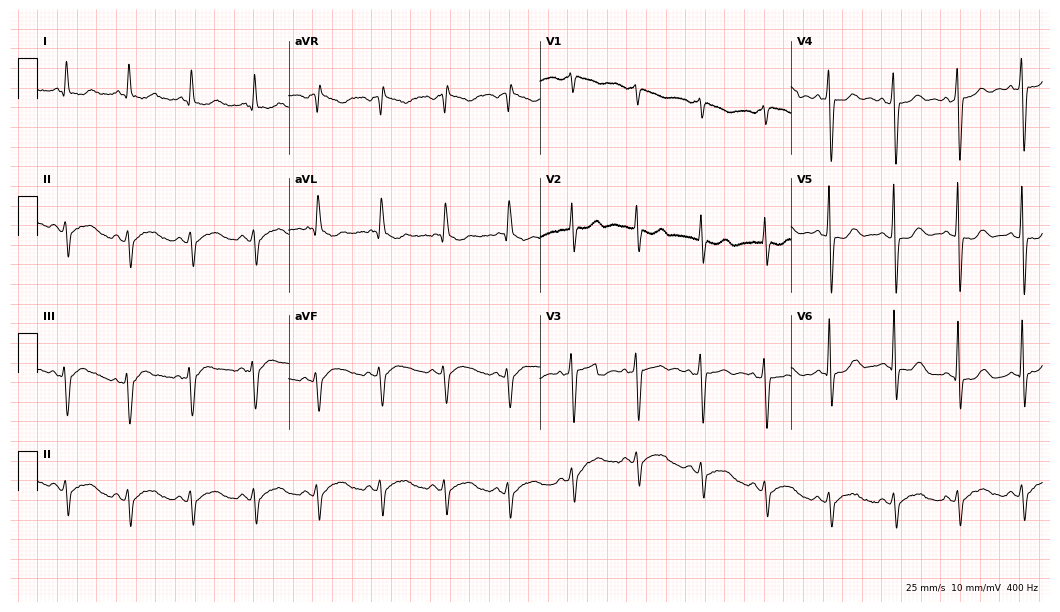
Resting 12-lead electrocardiogram (10.2-second recording at 400 Hz). Patient: a male, 70 years old. None of these six findings is recorded: first-degree AV block, right bundle branch block (RBBB), left bundle branch block (LBBB), sinus bradycardia, atrial fibrillation (AF), sinus tachycardia. Other findings, if any, are not listed.